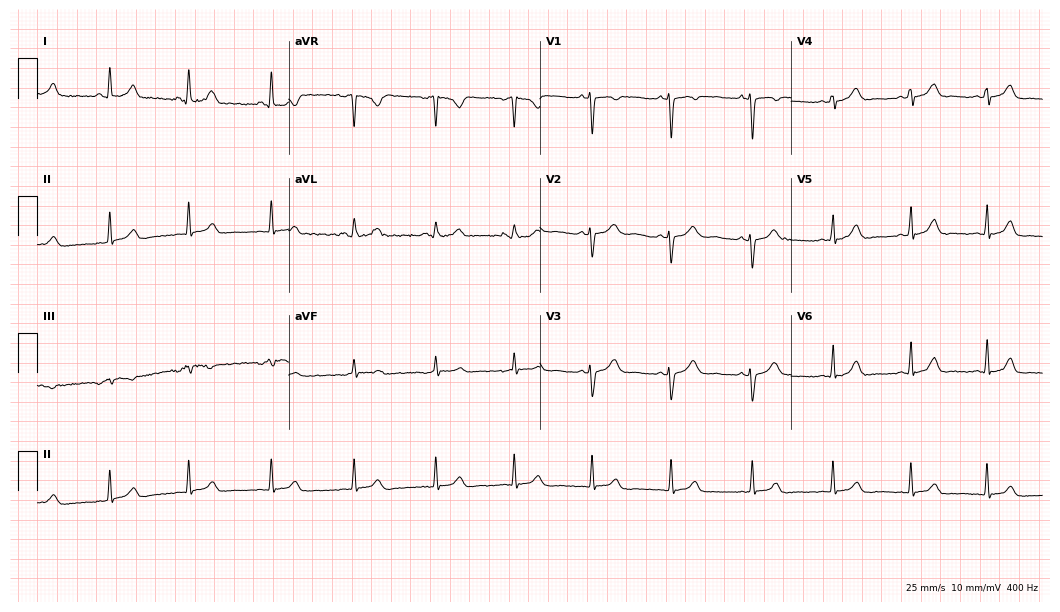
12-lead ECG from a female, 18 years old (10.2-second recording at 400 Hz). No first-degree AV block, right bundle branch block, left bundle branch block, sinus bradycardia, atrial fibrillation or sinus tachycardia recorded for this tracing. Other findings, if any, are not listed.